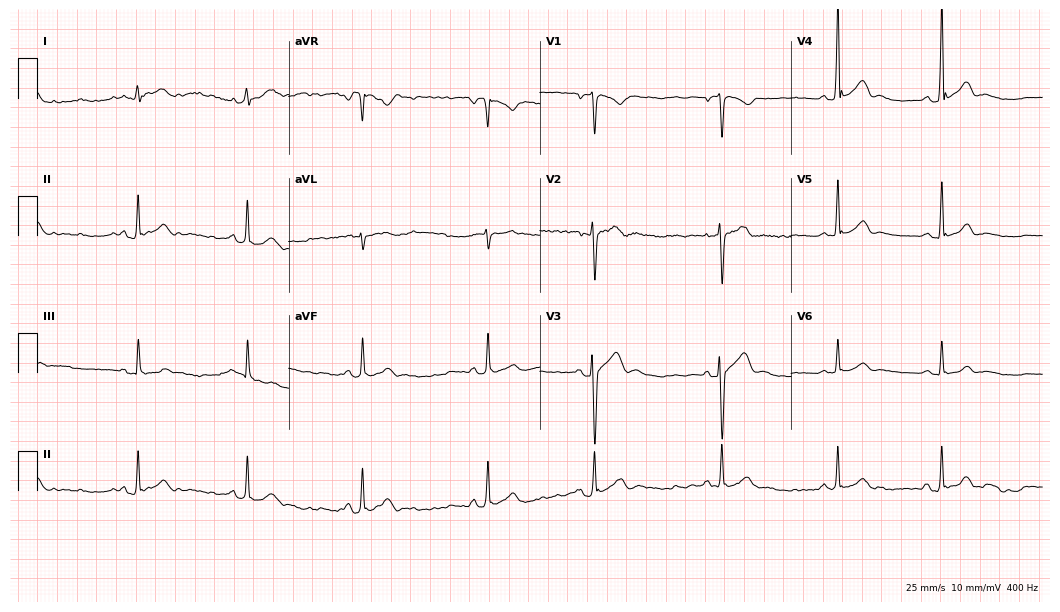
12-lead ECG from a 24-year-old male patient (10.2-second recording at 400 Hz). Recorded interpretation: within normal limits.